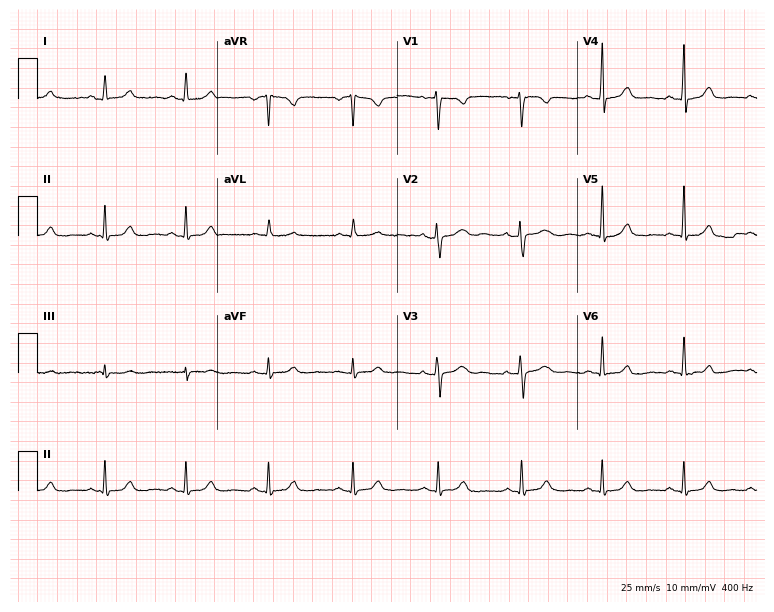
Standard 12-lead ECG recorded from a woman, 54 years old. None of these six findings is recorded: first-degree AV block, right bundle branch block, left bundle branch block, sinus bradycardia, atrial fibrillation, sinus tachycardia. Only these six findings were labelled.